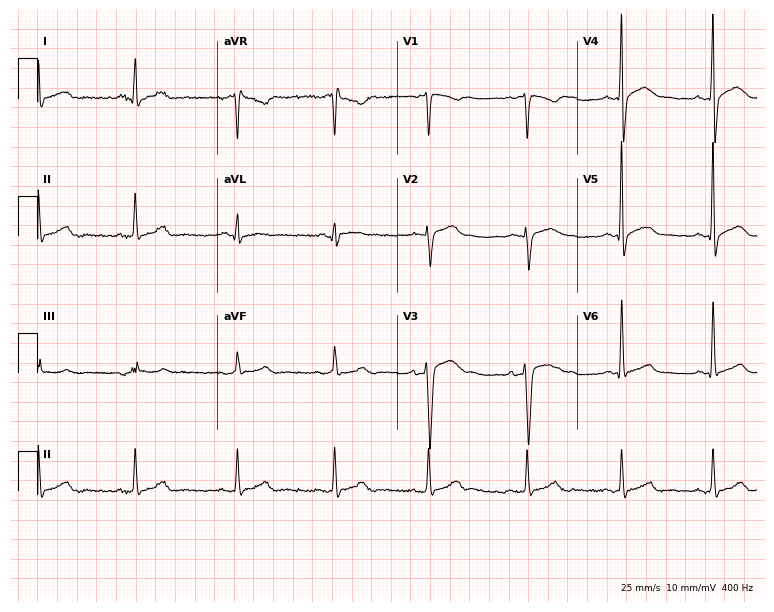
ECG — a male patient, 32 years old. Screened for six findings — first-degree AV block, right bundle branch block, left bundle branch block, sinus bradycardia, atrial fibrillation, sinus tachycardia — none is recorded.